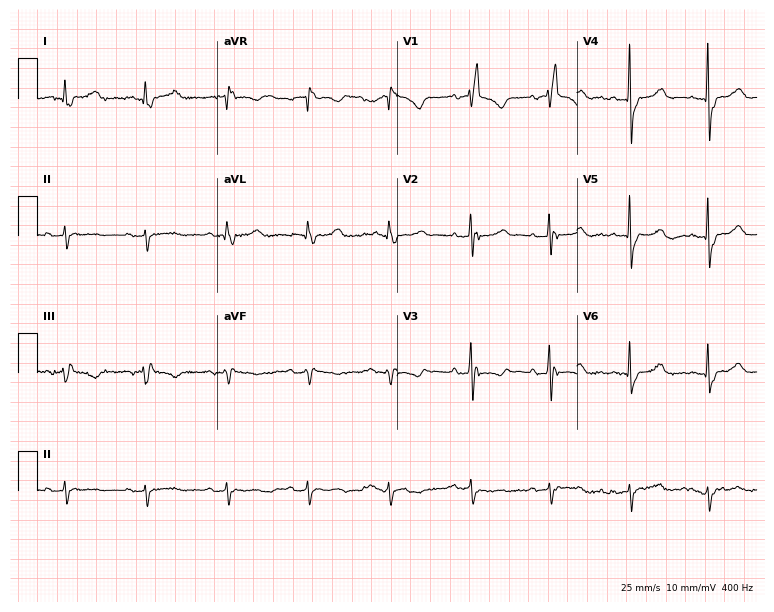
Standard 12-lead ECG recorded from a woman, 82 years old (7.3-second recording at 400 Hz). The tracing shows right bundle branch block (RBBB).